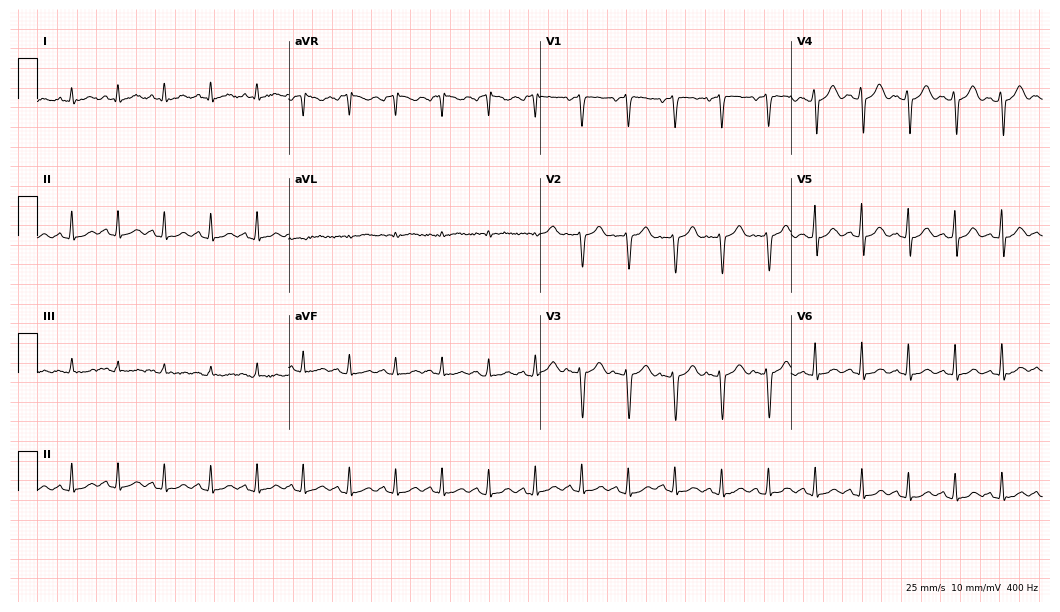
12-lead ECG from a 45-year-old man. Findings include sinus tachycardia (a sinus rate of 100 beats per minute or more).